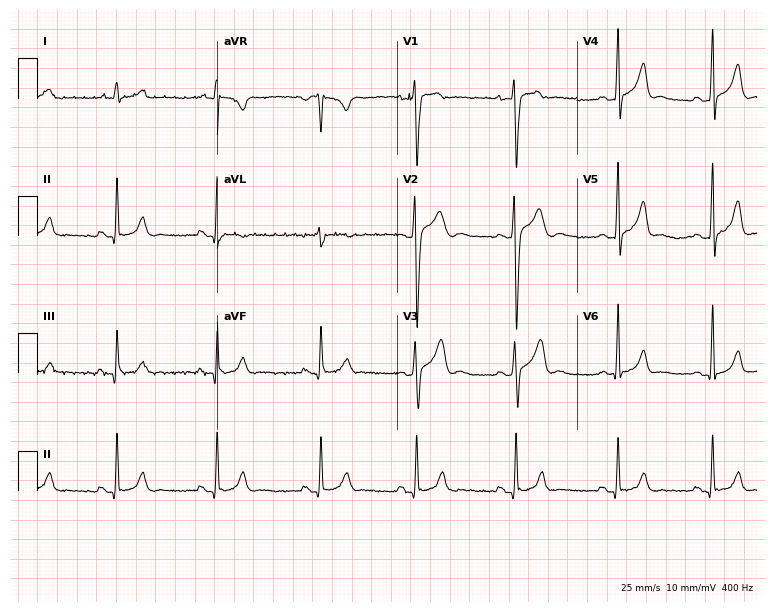
Electrocardiogram, a man, 25 years old. Overall reading on record: normal ECG.